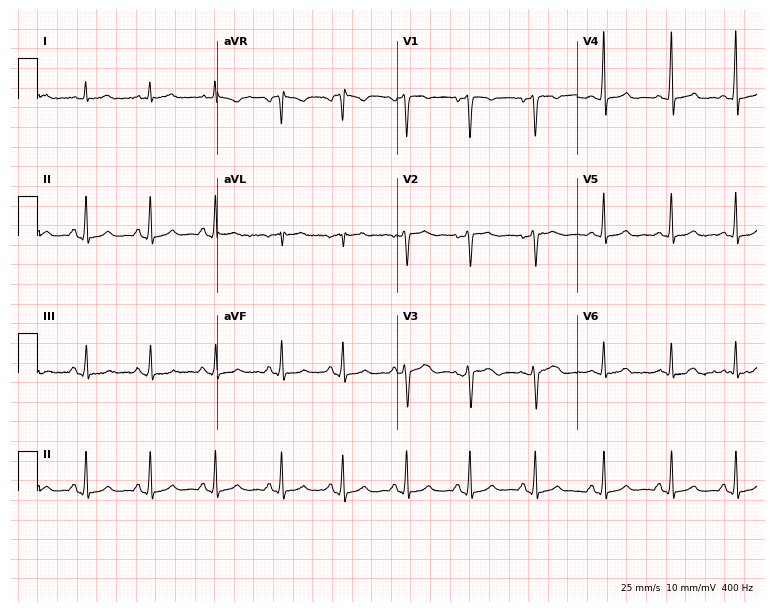
Electrocardiogram, a woman, 41 years old. Of the six screened findings (first-degree AV block, right bundle branch block (RBBB), left bundle branch block (LBBB), sinus bradycardia, atrial fibrillation (AF), sinus tachycardia), none is recorded.